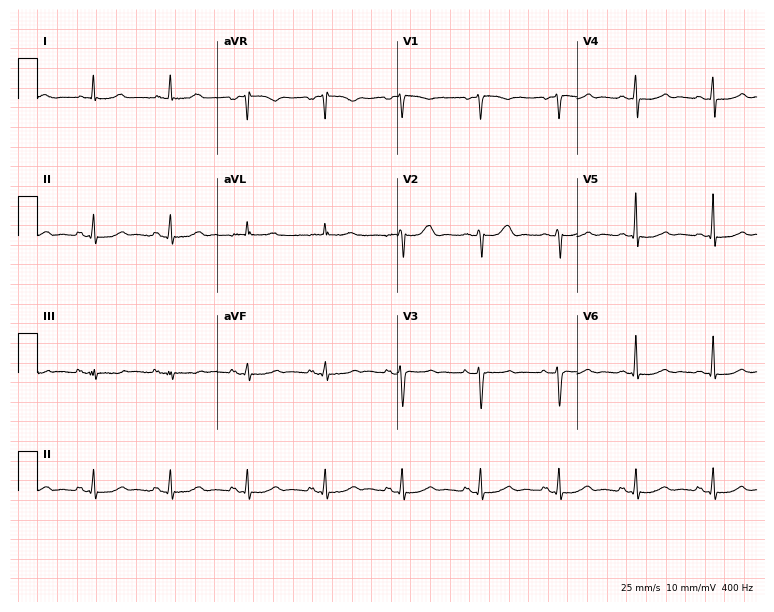
12-lead ECG from a woman, 59 years old (7.3-second recording at 400 Hz). No first-degree AV block, right bundle branch block (RBBB), left bundle branch block (LBBB), sinus bradycardia, atrial fibrillation (AF) or sinus tachycardia recorded for this tracing.